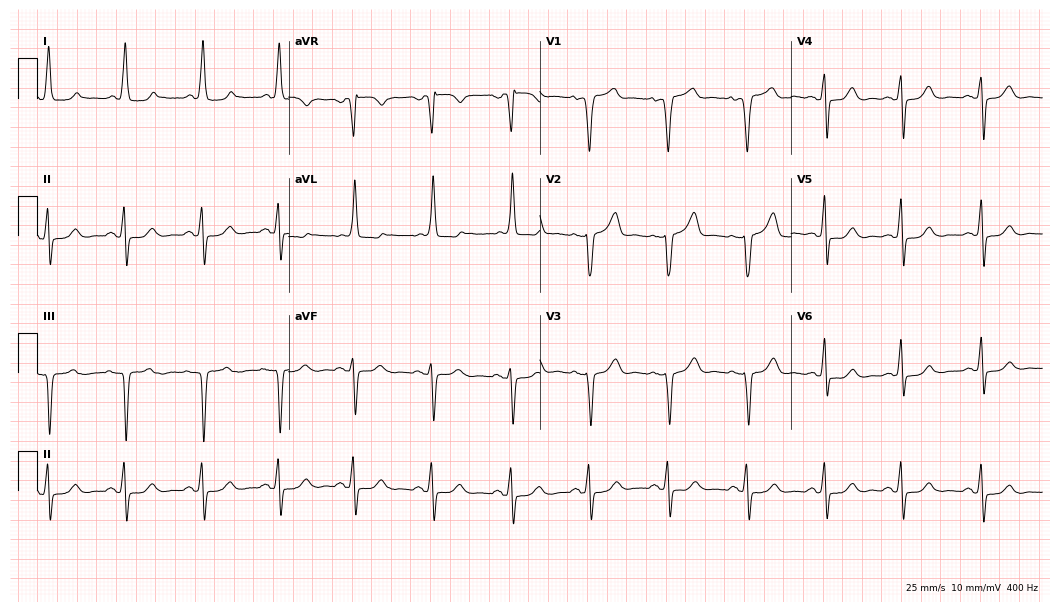
ECG — a woman, 71 years old. Screened for six findings — first-degree AV block, right bundle branch block (RBBB), left bundle branch block (LBBB), sinus bradycardia, atrial fibrillation (AF), sinus tachycardia — none is recorded.